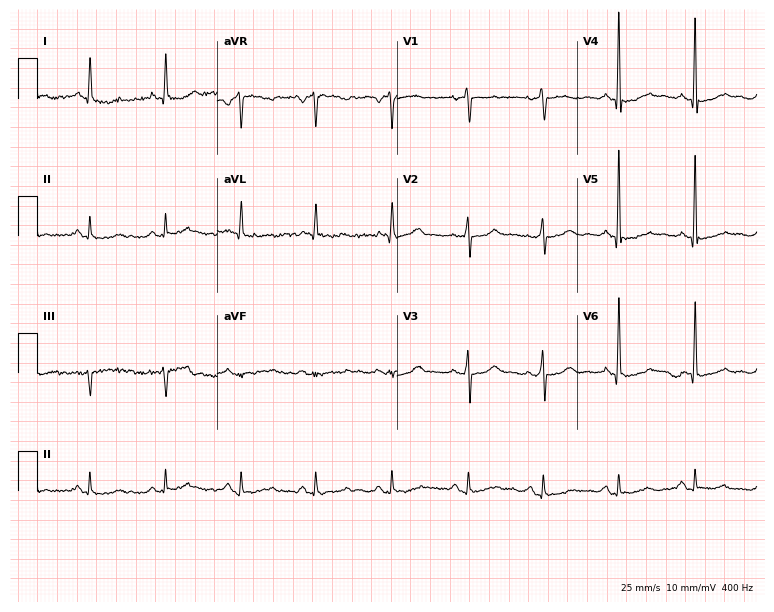
12-lead ECG from a 54-year-old woman (7.3-second recording at 400 Hz). No first-degree AV block, right bundle branch block, left bundle branch block, sinus bradycardia, atrial fibrillation or sinus tachycardia recorded for this tracing.